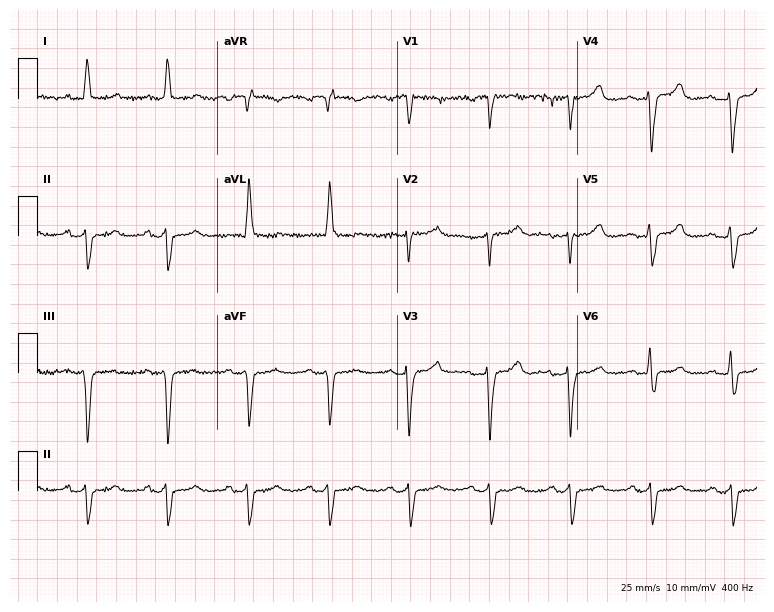
Electrocardiogram, an 80-year-old female. Of the six screened findings (first-degree AV block, right bundle branch block, left bundle branch block, sinus bradycardia, atrial fibrillation, sinus tachycardia), none is recorded.